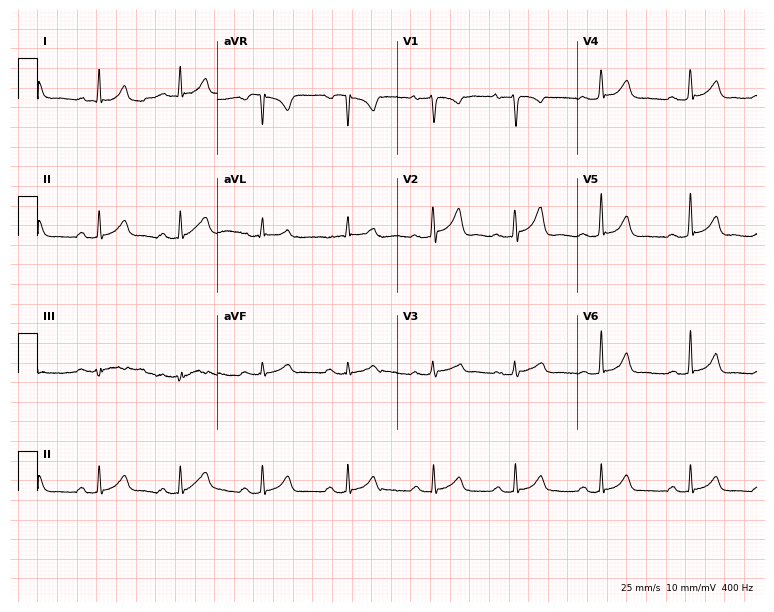
Standard 12-lead ECG recorded from a female, 26 years old. Read as a normal ECG.